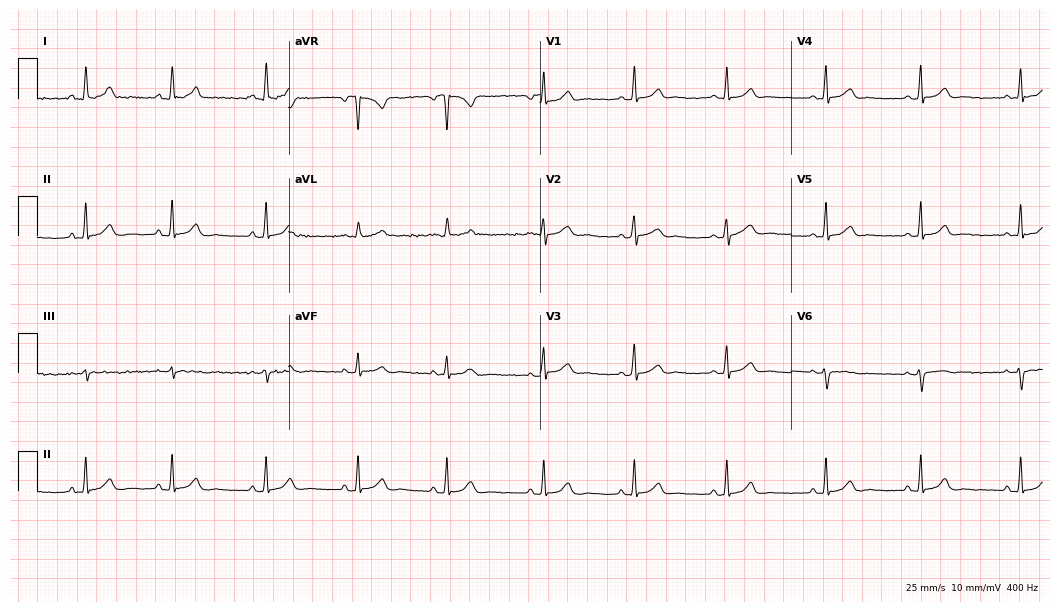
Electrocardiogram, a female, 21 years old. Overall reading on record: normal ECG.